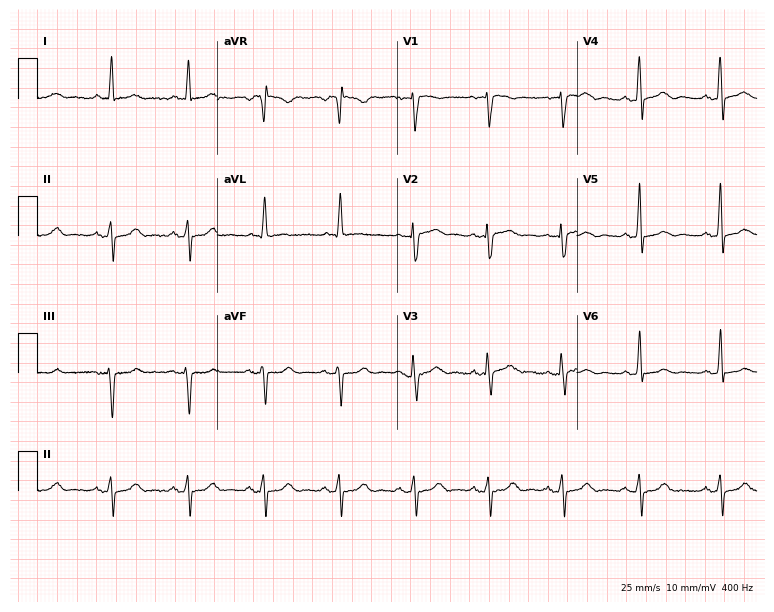
Standard 12-lead ECG recorded from a man, 57 years old. None of these six findings is recorded: first-degree AV block, right bundle branch block, left bundle branch block, sinus bradycardia, atrial fibrillation, sinus tachycardia. Only these six findings were labelled.